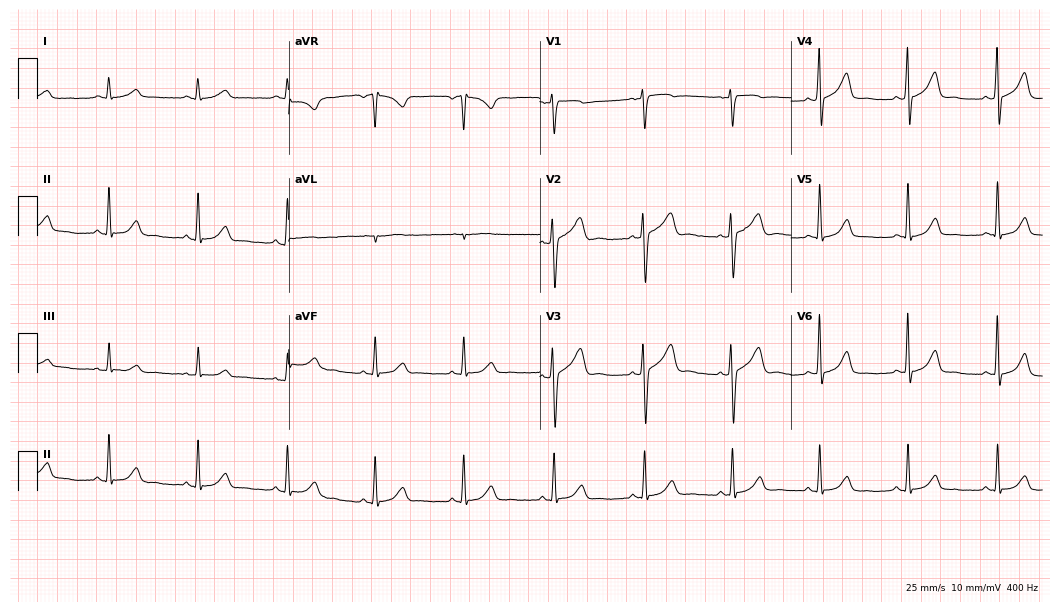
12-lead ECG from a 48-year-old woman. Screened for six findings — first-degree AV block, right bundle branch block, left bundle branch block, sinus bradycardia, atrial fibrillation, sinus tachycardia — none is recorded. Only these six findings were labelled.